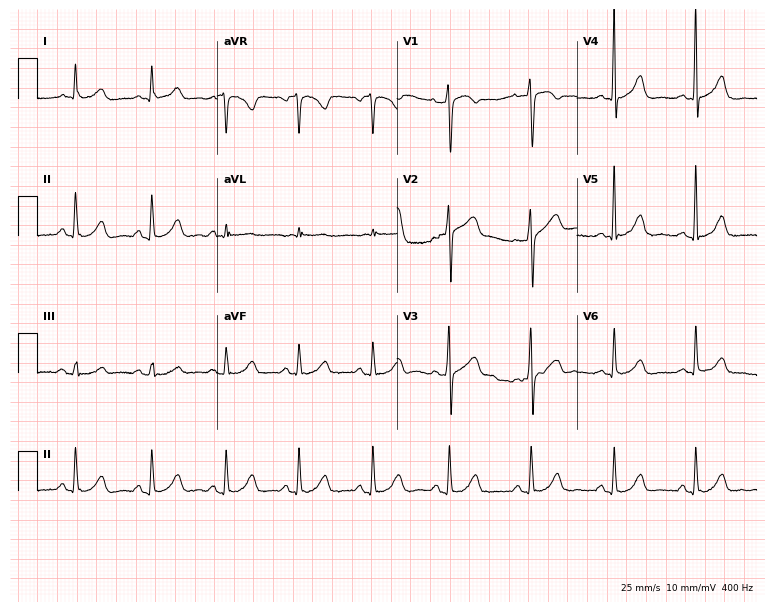
12-lead ECG from a woman, 55 years old (7.3-second recording at 400 Hz). No first-degree AV block, right bundle branch block (RBBB), left bundle branch block (LBBB), sinus bradycardia, atrial fibrillation (AF) or sinus tachycardia recorded for this tracing. Only these six findings were labelled.